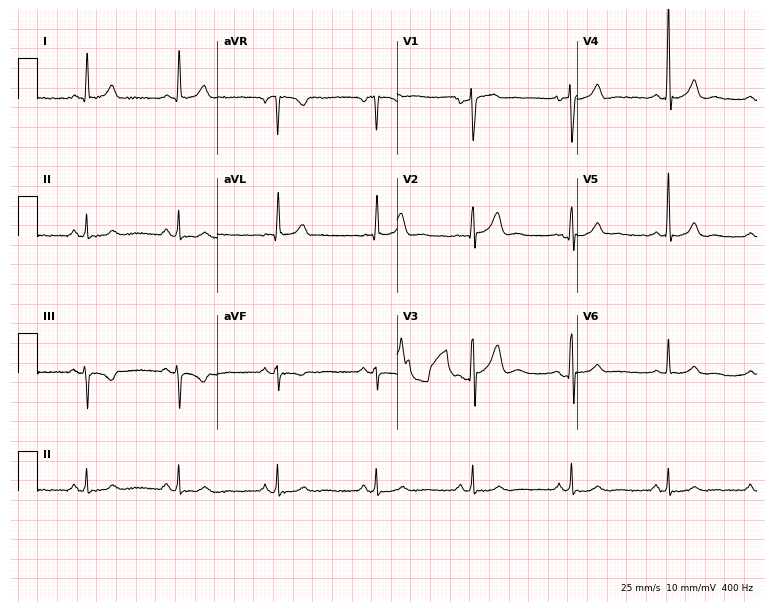
Standard 12-lead ECG recorded from a 46-year-old man. None of these six findings is recorded: first-degree AV block, right bundle branch block (RBBB), left bundle branch block (LBBB), sinus bradycardia, atrial fibrillation (AF), sinus tachycardia.